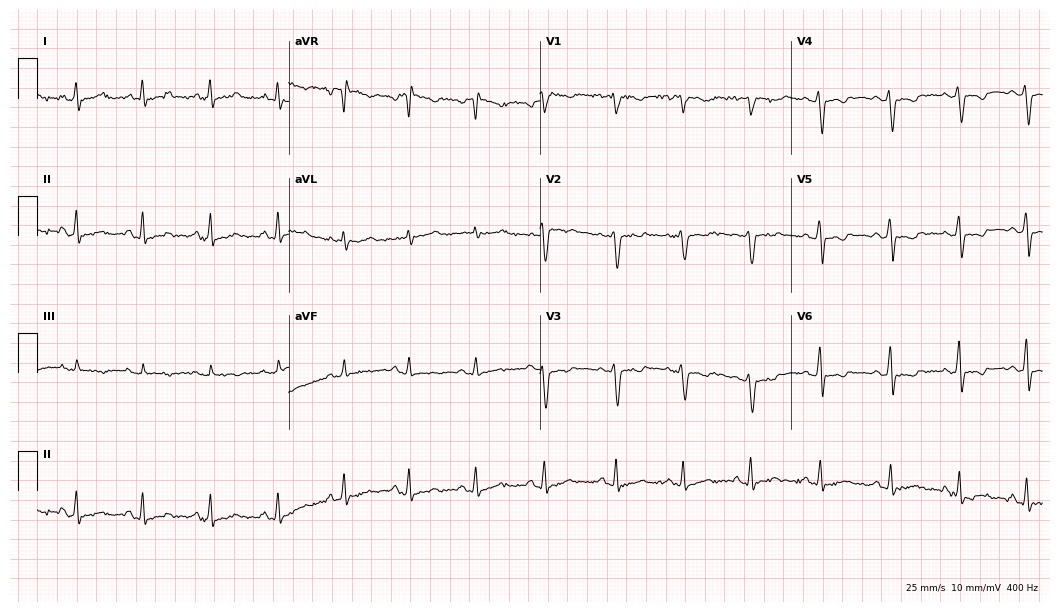
ECG — a woman, 39 years old. Screened for six findings — first-degree AV block, right bundle branch block (RBBB), left bundle branch block (LBBB), sinus bradycardia, atrial fibrillation (AF), sinus tachycardia — none is recorded. Only these six findings were labelled.